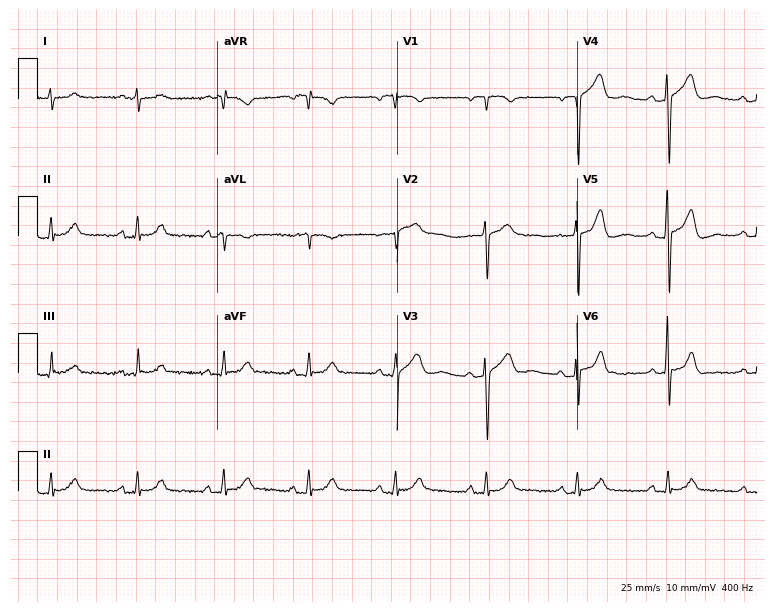
Electrocardiogram (7.3-second recording at 400 Hz), a man, 49 years old. Overall reading on record: normal ECG.